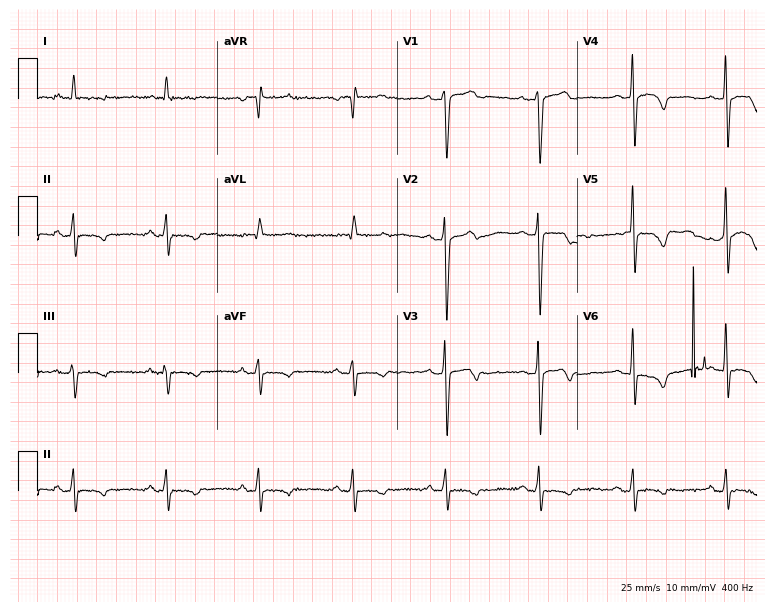
12-lead ECG from a 68-year-old female patient (7.3-second recording at 400 Hz). No first-degree AV block, right bundle branch block, left bundle branch block, sinus bradycardia, atrial fibrillation or sinus tachycardia recorded for this tracing.